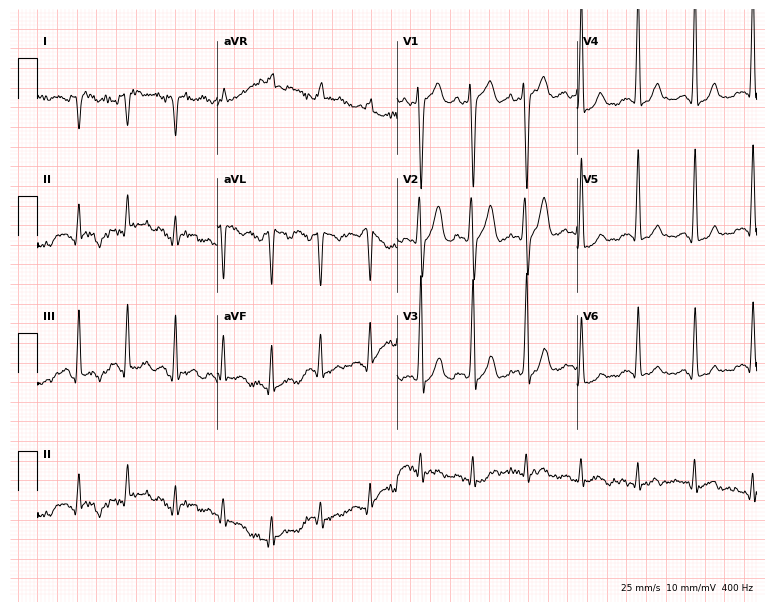
12-lead ECG from a 23-year-old male patient. Screened for six findings — first-degree AV block, right bundle branch block, left bundle branch block, sinus bradycardia, atrial fibrillation, sinus tachycardia — none is recorded.